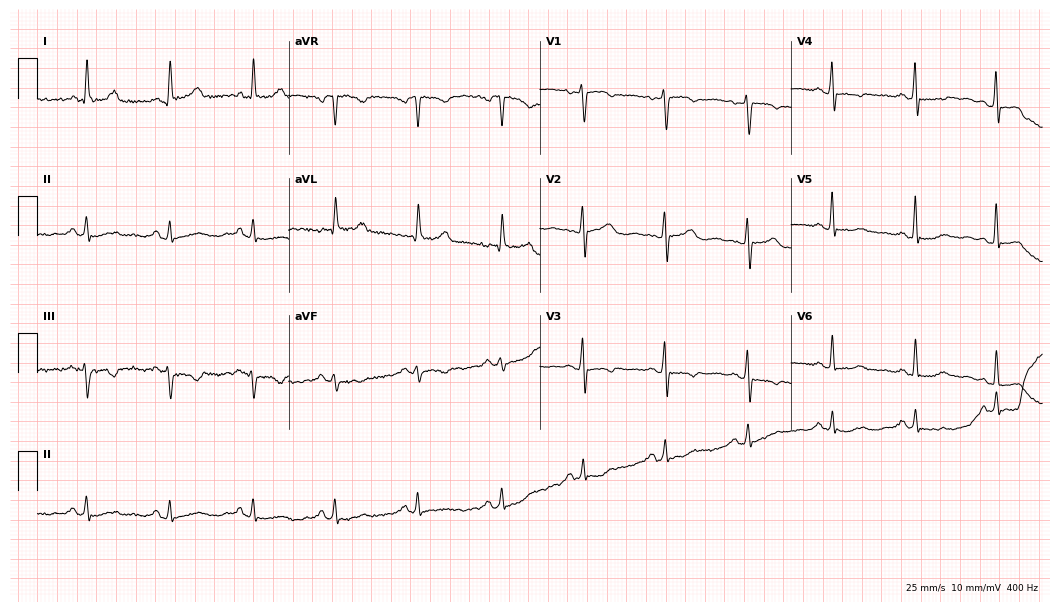
Resting 12-lead electrocardiogram. Patient: a 74-year-old female. None of these six findings is recorded: first-degree AV block, right bundle branch block, left bundle branch block, sinus bradycardia, atrial fibrillation, sinus tachycardia. Other findings, if any, are not listed.